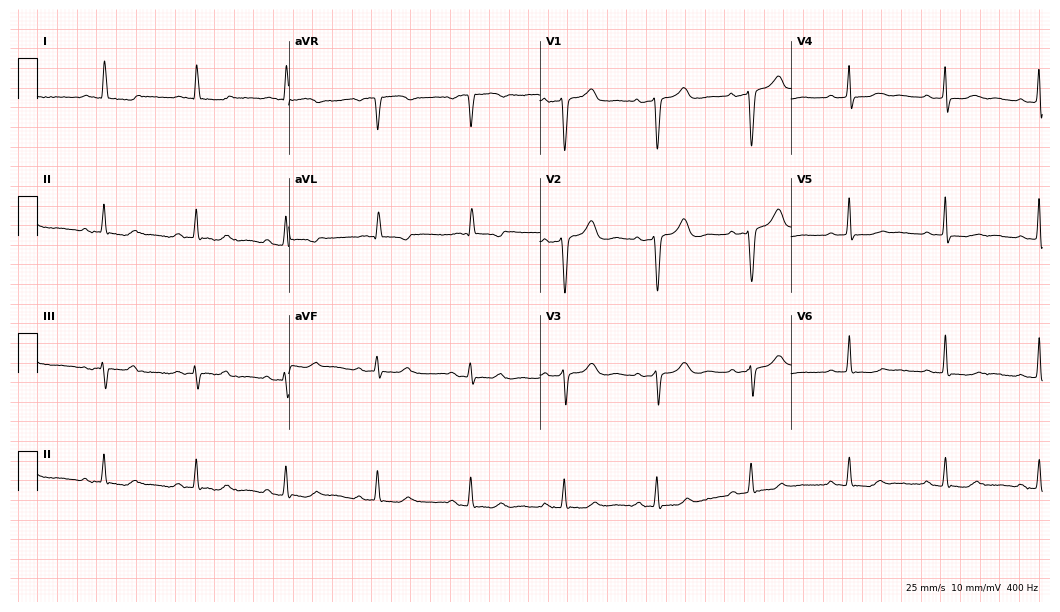
Standard 12-lead ECG recorded from a female patient, 80 years old (10.2-second recording at 400 Hz). None of these six findings is recorded: first-degree AV block, right bundle branch block (RBBB), left bundle branch block (LBBB), sinus bradycardia, atrial fibrillation (AF), sinus tachycardia. Only these six findings were labelled.